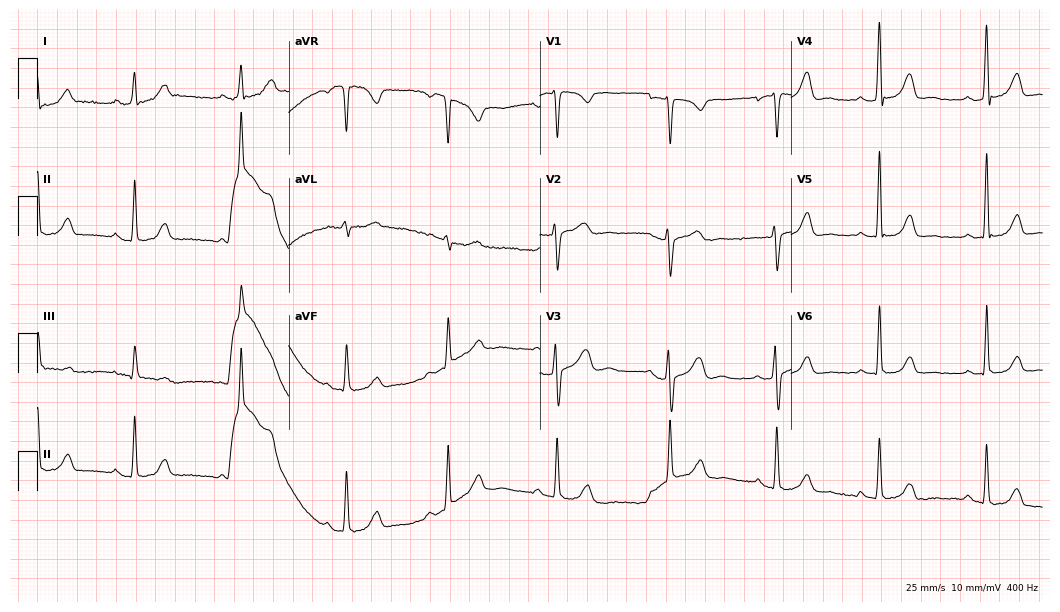
ECG (10.2-second recording at 400 Hz) — a woman, 50 years old. Labelled as a normal ECG.